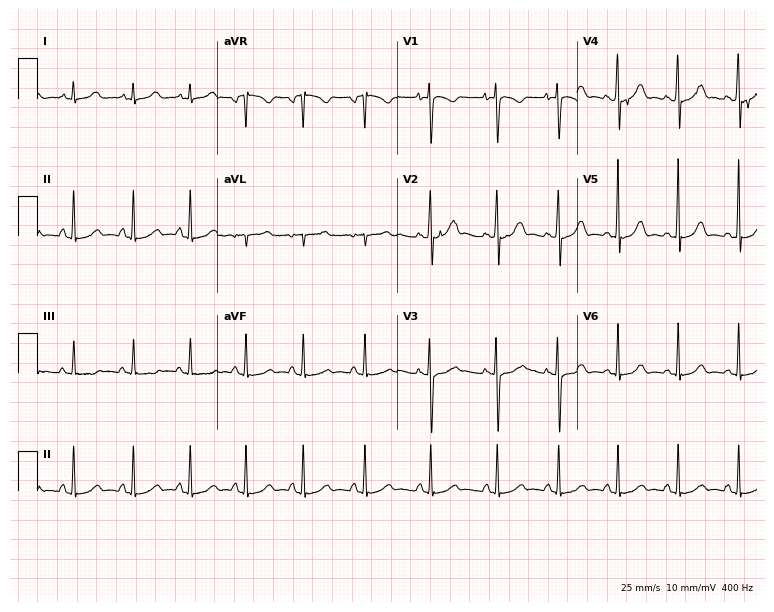
Resting 12-lead electrocardiogram (7.3-second recording at 400 Hz). Patient: a female, 21 years old. Read as a normal ECG.